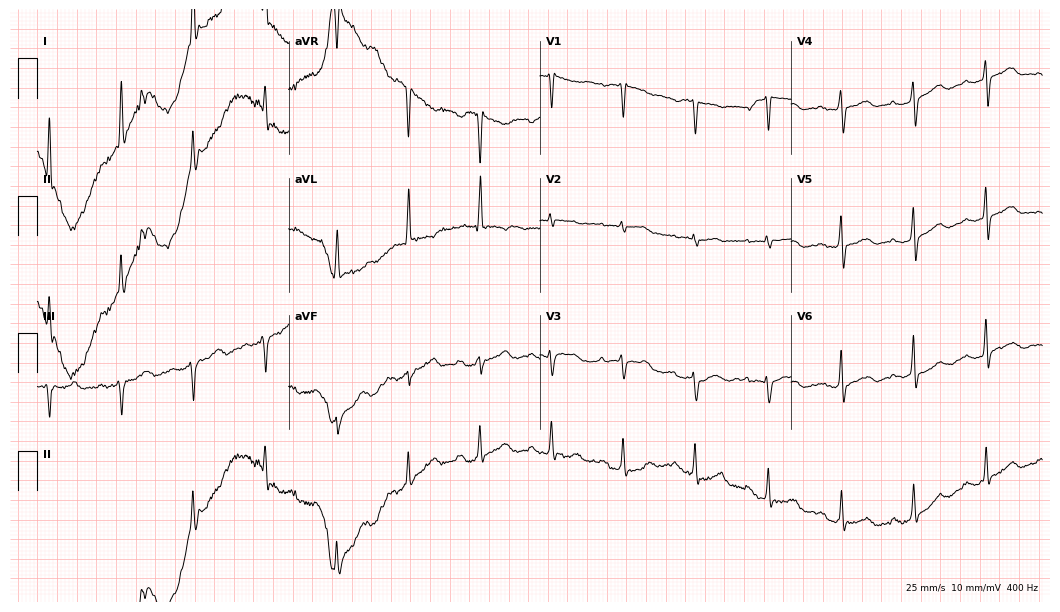
12-lead ECG from a woman, 66 years old. Labelled as a normal ECG.